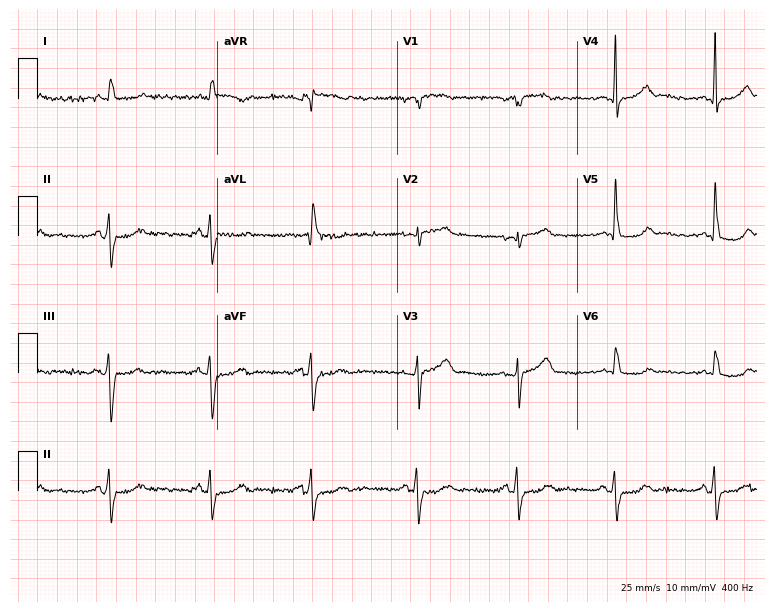
ECG (7.3-second recording at 400 Hz) — an 80-year-old male patient. Screened for six findings — first-degree AV block, right bundle branch block (RBBB), left bundle branch block (LBBB), sinus bradycardia, atrial fibrillation (AF), sinus tachycardia — none is recorded.